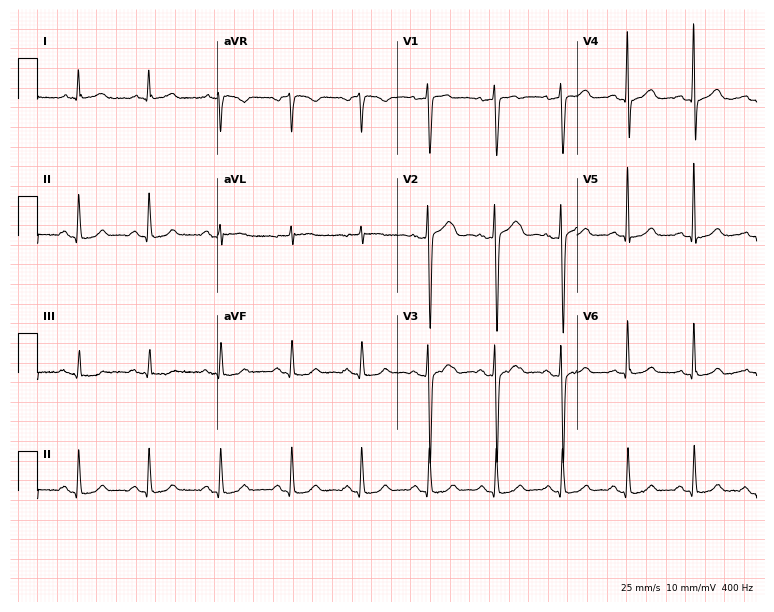
12-lead ECG from a man, 53 years old. Recorded interpretation: within normal limits.